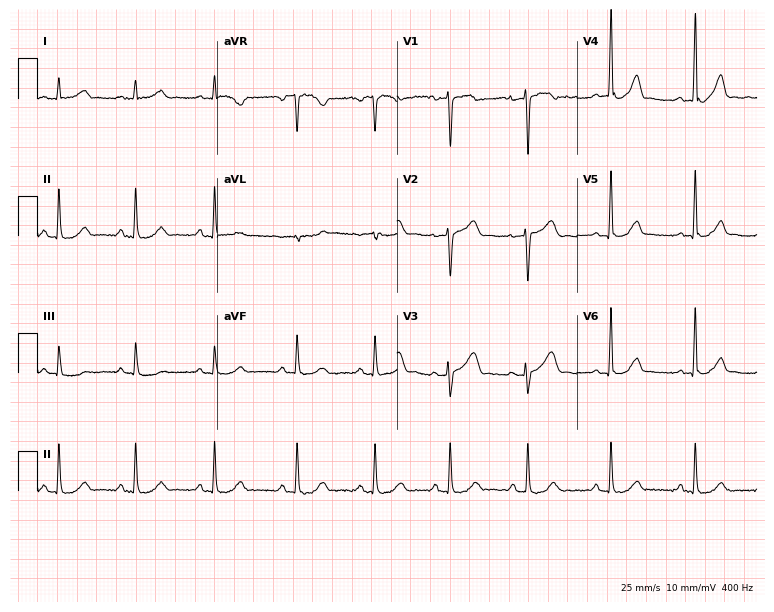
ECG (7.3-second recording at 400 Hz) — a 30-year-old female. Labelled as a normal ECG.